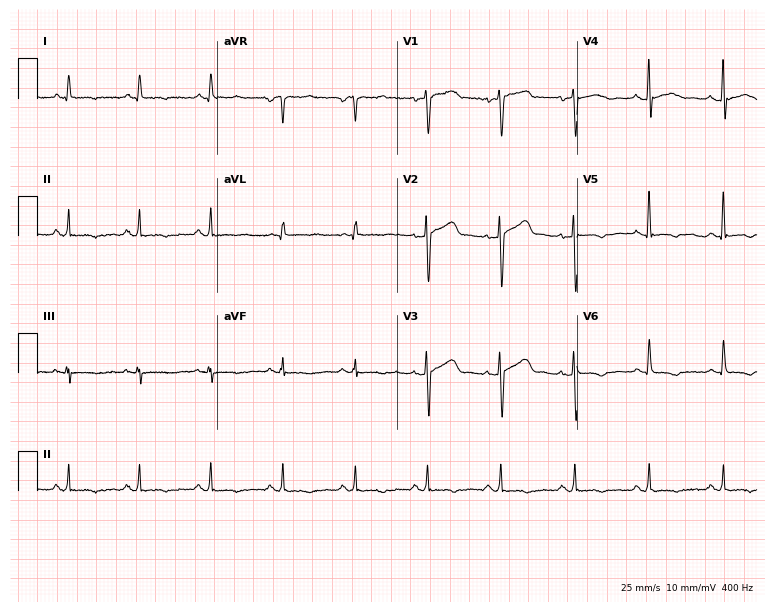
Resting 12-lead electrocardiogram. Patient: a man, 47 years old. None of these six findings is recorded: first-degree AV block, right bundle branch block, left bundle branch block, sinus bradycardia, atrial fibrillation, sinus tachycardia. Only these six findings were labelled.